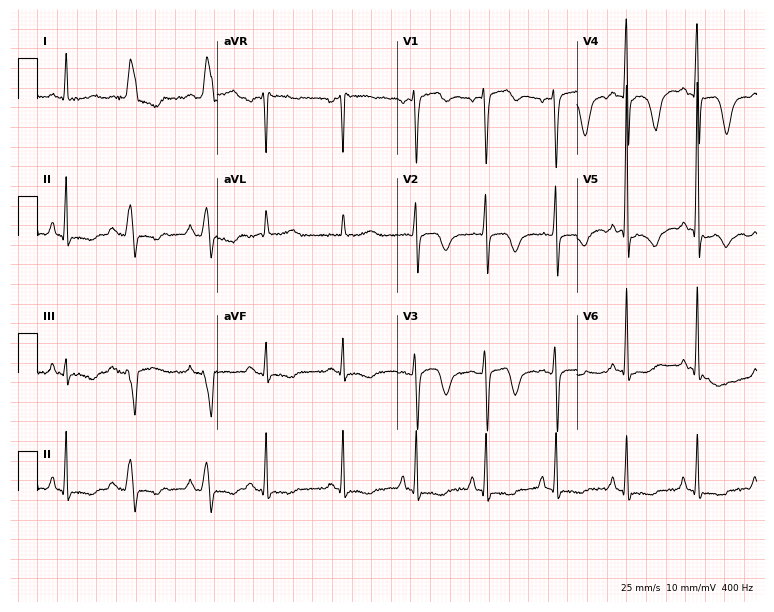
Electrocardiogram, a 79-year-old male. Of the six screened findings (first-degree AV block, right bundle branch block (RBBB), left bundle branch block (LBBB), sinus bradycardia, atrial fibrillation (AF), sinus tachycardia), none is recorded.